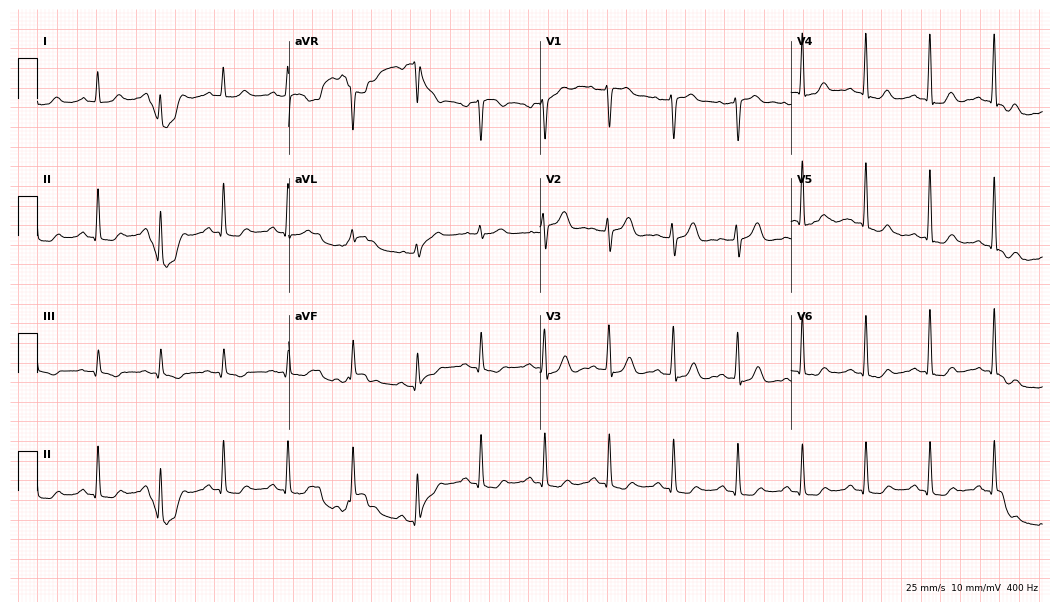
12-lead ECG (10.2-second recording at 400 Hz) from a male, 70 years old. Screened for six findings — first-degree AV block, right bundle branch block, left bundle branch block, sinus bradycardia, atrial fibrillation, sinus tachycardia — none is recorded.